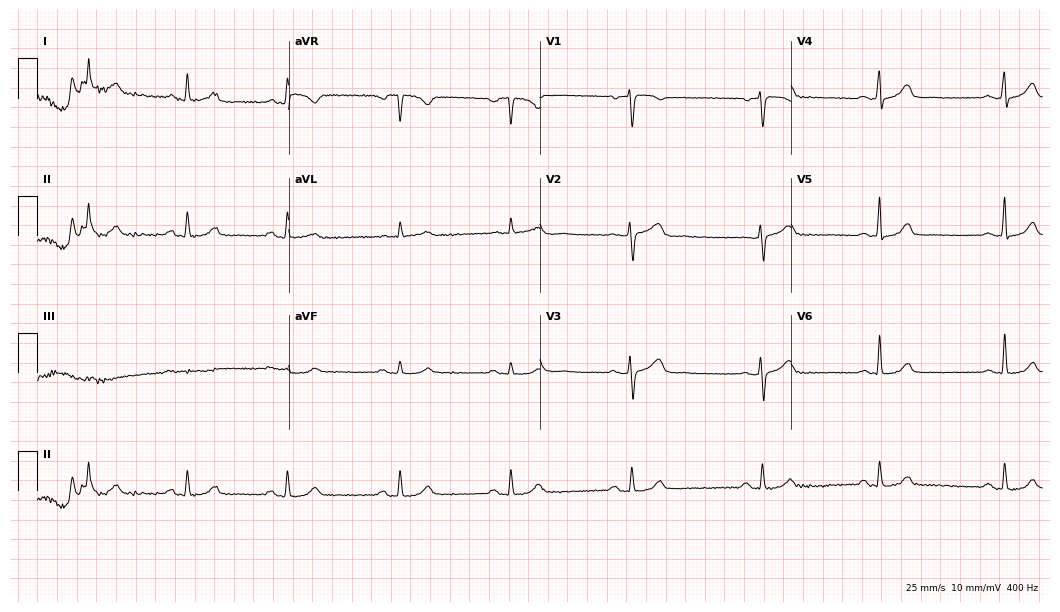
12-lead ECG from a female, 54 years old. Screened for six findings — first-degree AV block, right bundle branch block (RBBB), left bundle branch block (LBBB), sinus bradycardia, atrial fibrillation (AF), sinus tachycardia — none is recorded. Other findings, if any, are not listed.